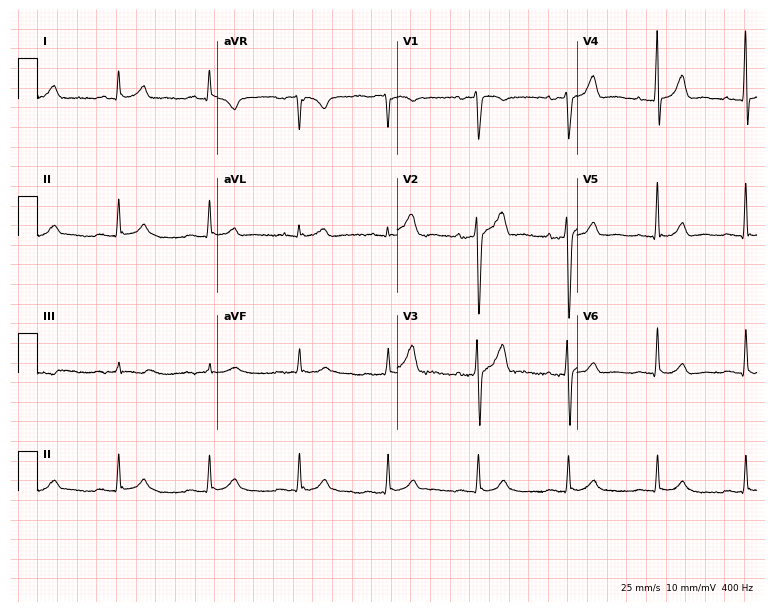
ECG — a 38-year-old male. Labelled as a normal ECG.